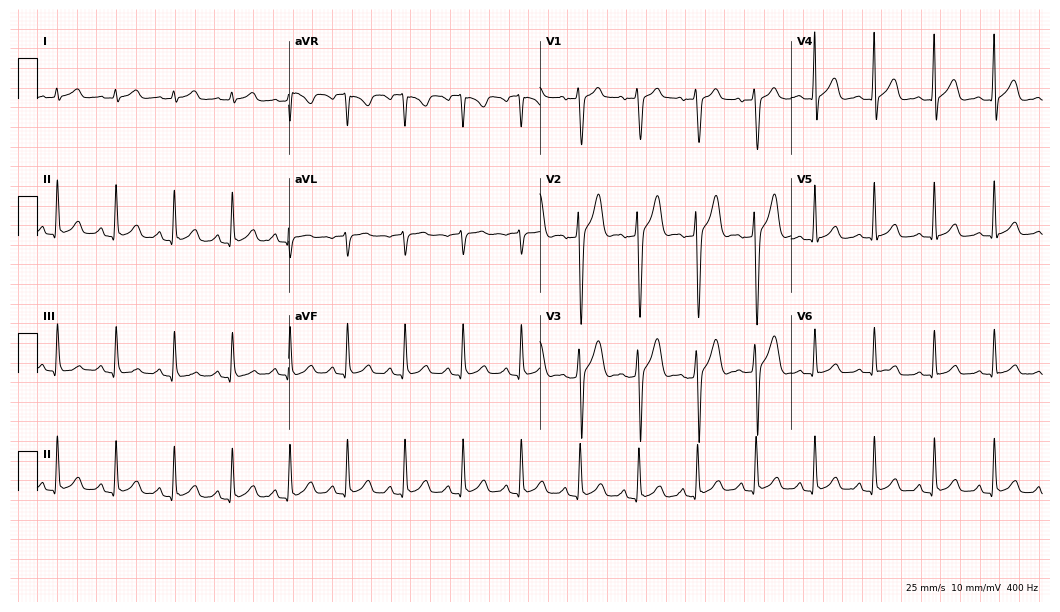
Standard 12-lead ECG recorded from a 32-year-old male. Read as a normal ECG.